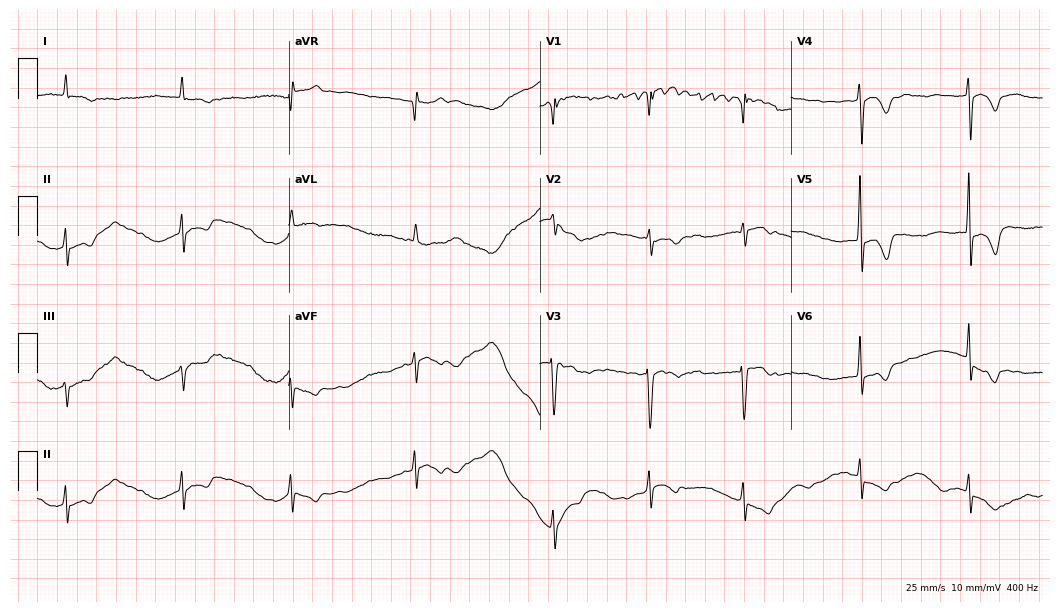
ECG — an 83-year-old female patient. Findings include atrial fibrillation (AF).